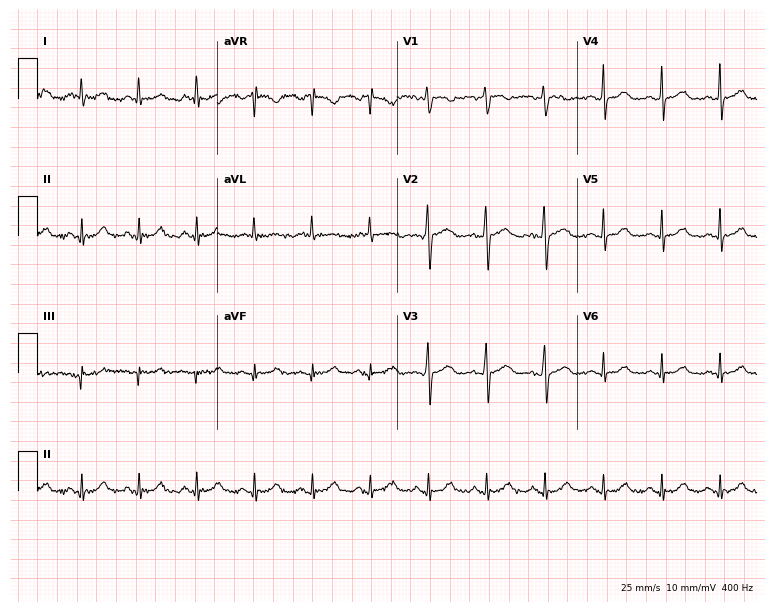
12-lead ECG (7.3-second recording at 400 Hz) from a female, 40 years old. Findings include sinus tachycardia (a sinus rate of 100 beats per minute or more).